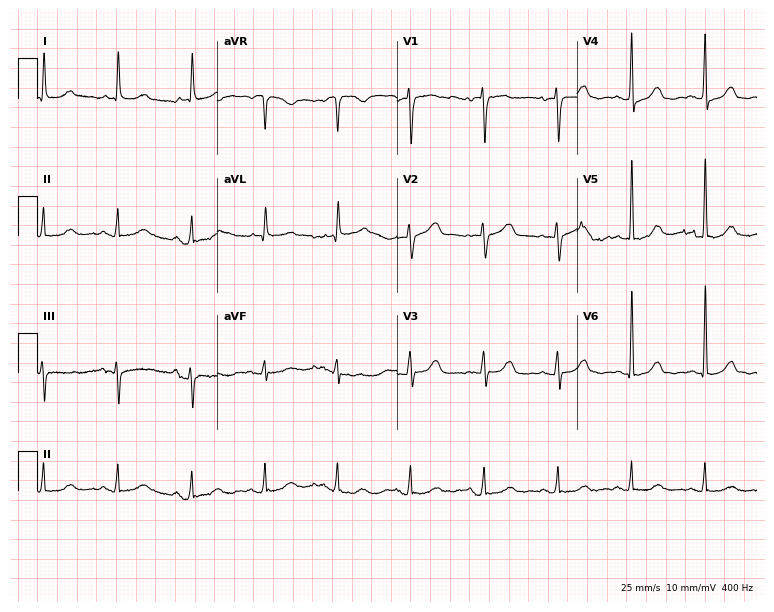
Resting 12-lead electrocardiogram. Patient: a female, 73 years old. None of these six findings is recorded: first-degree AV block, right bundle branch block (RBBB), left bundle branch block (LBBB), sinus bradycardia, atrial fibrillation (AF), sinus tachycardia. Findings outside these six are not listed.